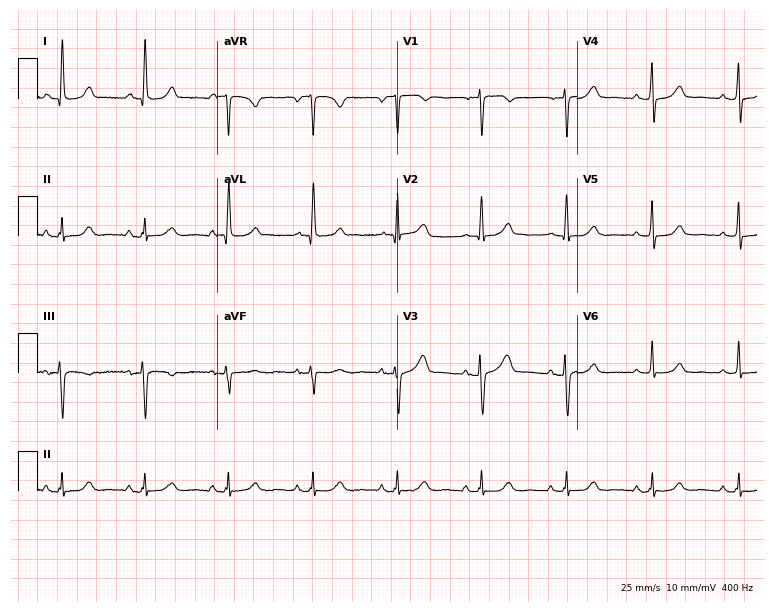
12-lead ECG from a 62-year-old female. Recorded interpretation: within normal limits.